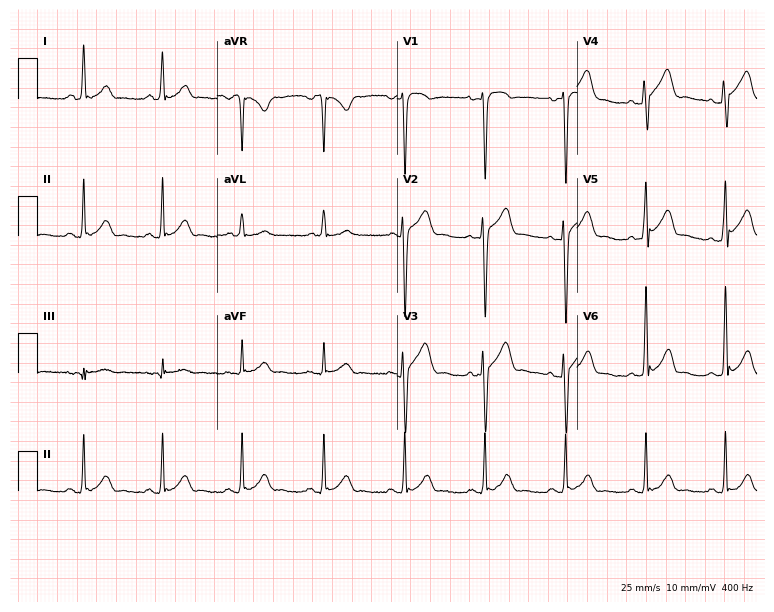
Resting 12-lead electrocardiogram (7.3-second recording at 400 Hz). Patient: a 37-year-old male. Read as a normal ECG.